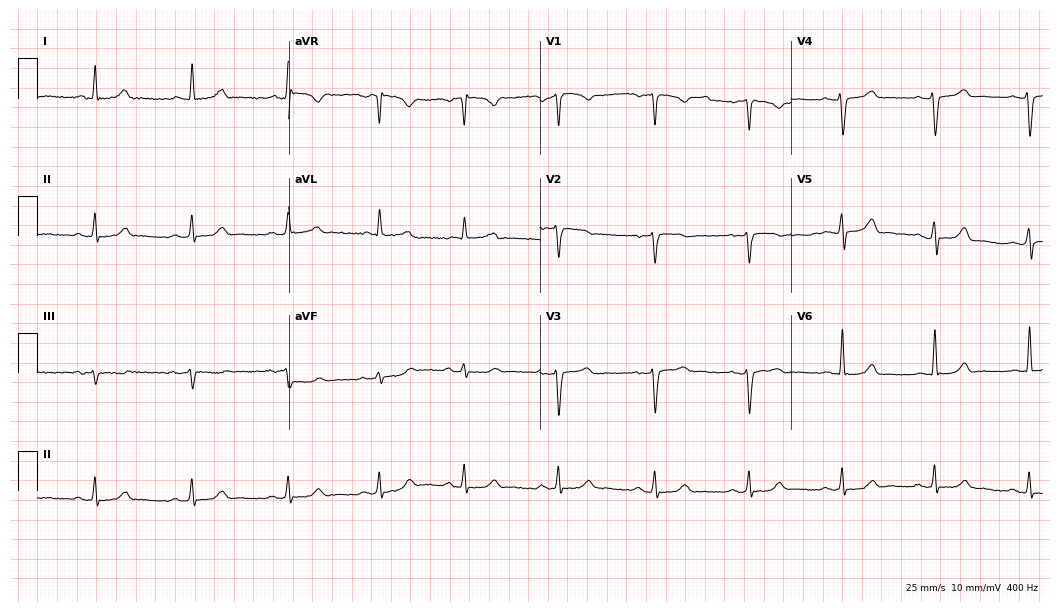
12-lead ECG from a 52-year-old female (10.2-second recording at 400 Hz). No first-degree AV block, right bundle branch block, left bundle branch block, sinus bradycardia, atrial fibrillation or sinus tachycardia recorded for this tracing.